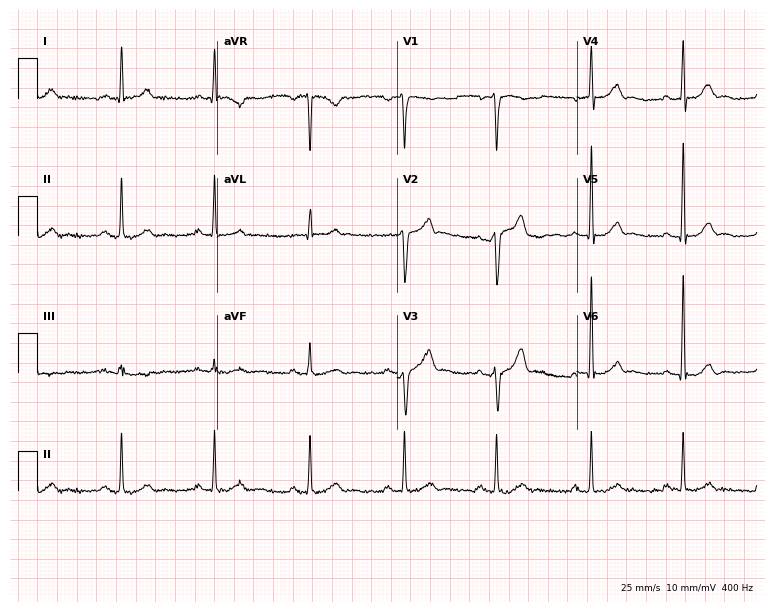
12-lead ECG (7.3-second recording at 400 Hz) from a male patient, 42 years old. Screened for six findings — first-degree AV block, right bundle branch block, left bundle branch block, sinus bradycardia, atrial fibrillation, sinus tachycardia — none is recorded.